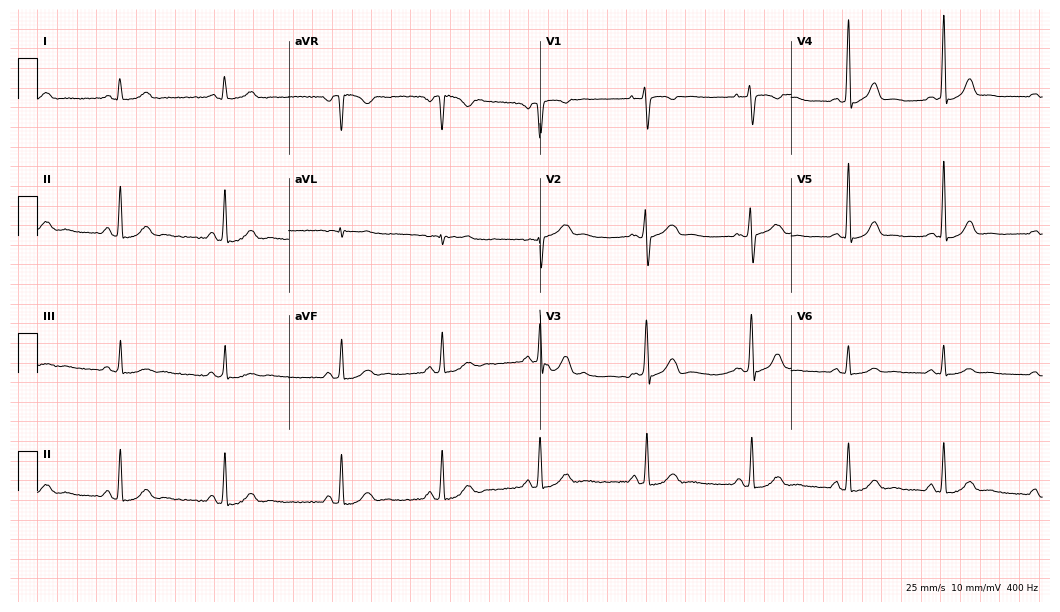
Resting 12-lead electrocardiogram. Patient: a female, 28 years old. Read as a normal ECG.